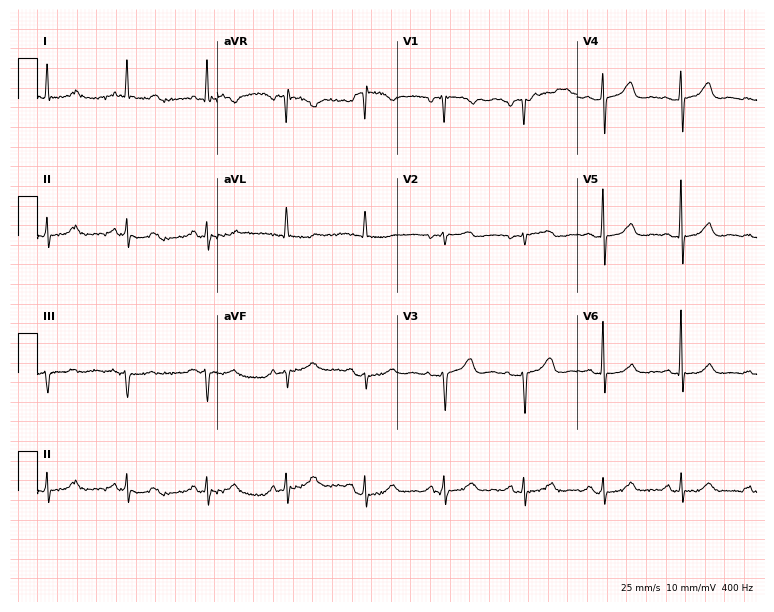
ECG (7.3-second recording at 400 Hz) — a woman, 74 years old. Screened for six findings — first-degree AV block, right bundle branch block, left bundle branch block, sinus bradycardia, atrial fibrillation, sinus tachycardia — none is recorded.